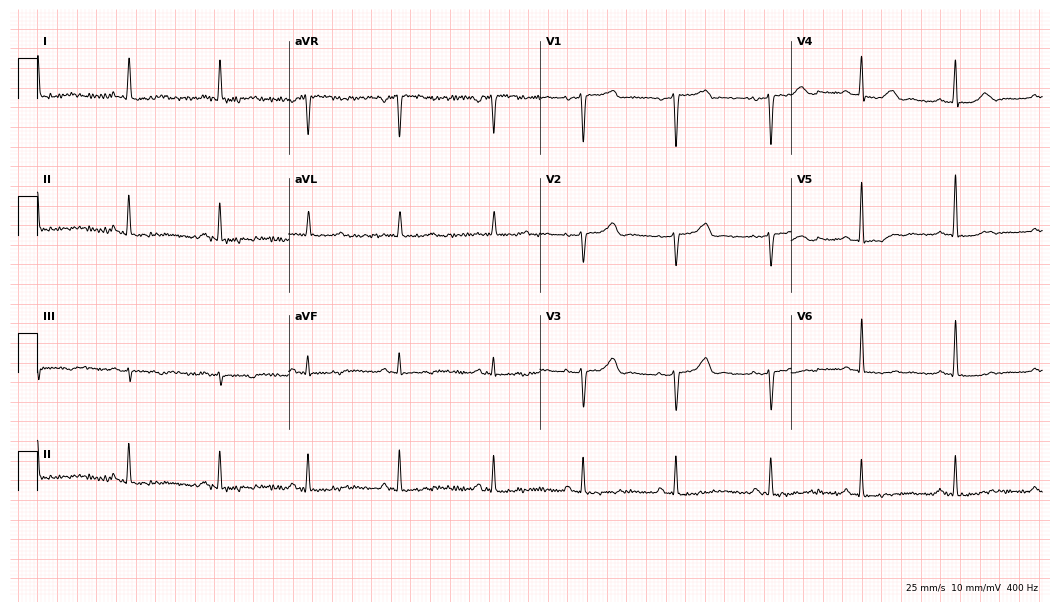
Resting 12-lead electrocardiogram. Patient: a 64-year-old female. None of these six findings is recorded: first-degree AV block, right bundle branch block, left bundle branch block, sinus bradycardia, atrial fibrillation, sinus tachycardia. Only these six findings were labelled.